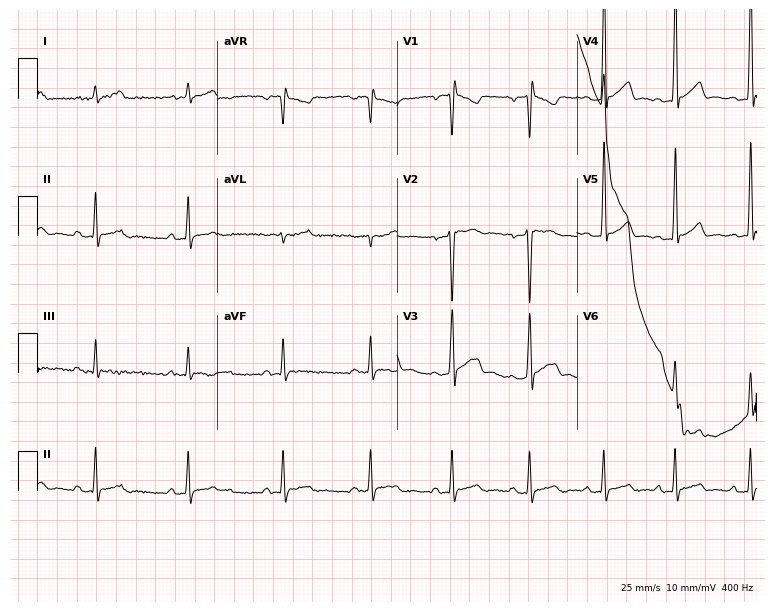
Electrocardiogram (7.3-second recording at 400 Hz), a male patient, 24 years old. Of the six screened findings (first-degree AV block, right bundle branch block, left bundle branch block, sinus bradycardia, atrial fibrillation, sinus tachycardia), none is recorded. Only these six findings were labelled.